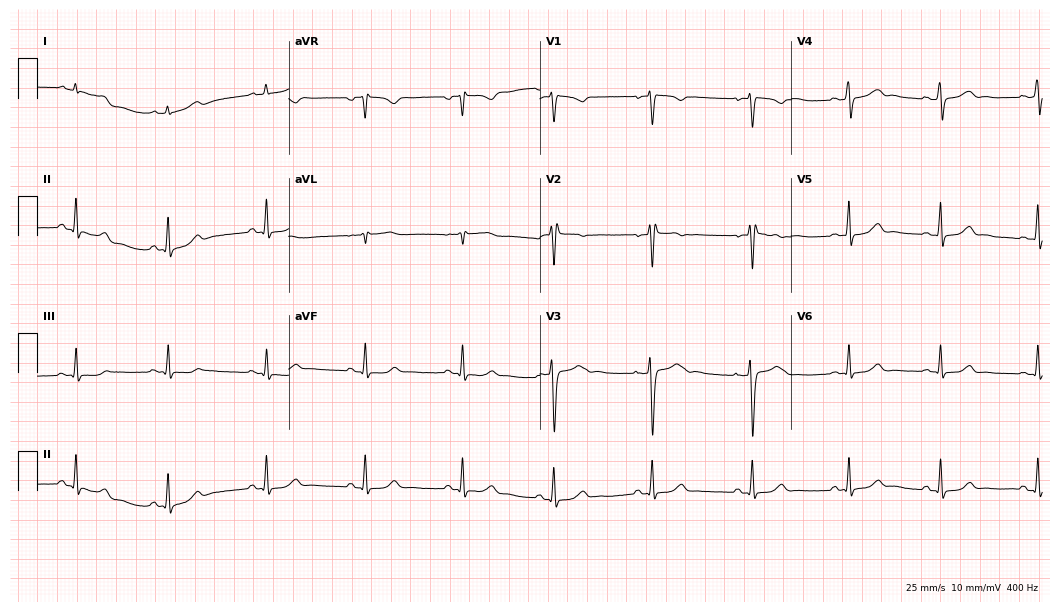
Standard 12-lead ECG recorded from a woman, 32 years old (10.2-second recording at 400 Hz). None of these six findings is recorded: first-degree AV block, right bundle branch block, left bundle branch block, sinus bradycardia, atrial fibrillation, sinus tachycardia.